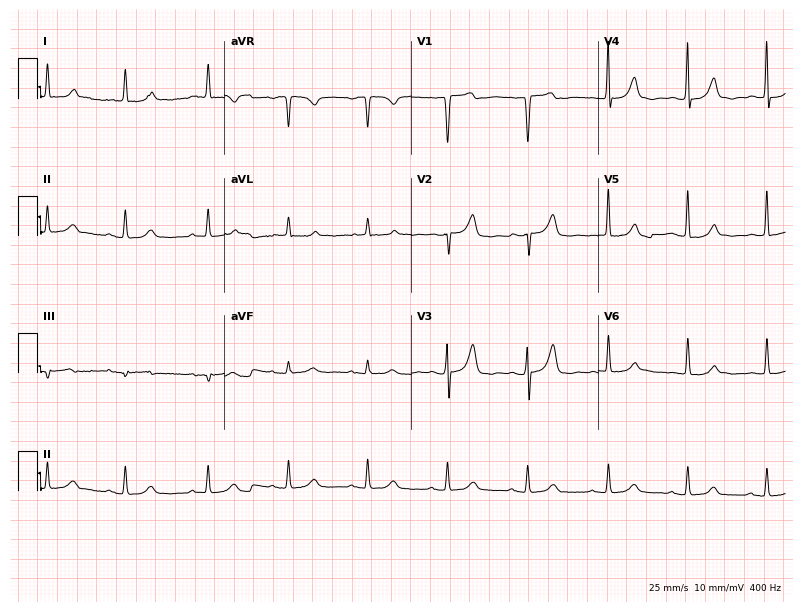
Standard 12-lead ECG recorded from a 76-year-old female (7.6-second recording at 400 Hz). None of these six findings is recorded: first-degree AV block, right bundle branch block (RBBB), left bundle branch block (LBBB), sinus bradycardia, atrial fibrillation (AF), sinus tachycardia.